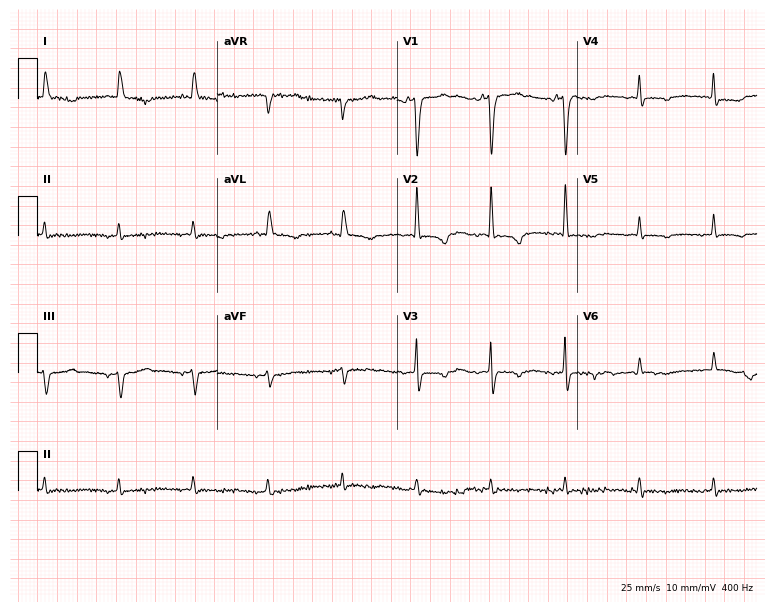
Electrocardiogram (7.3-second recording at 400 Hz), a female, 83 years old. Of the six screened findings (first-degree AV block, right bundle branch block (RBBB), left bundle branch block (LBBB), sinus bradycardia, atrial fibrillation (AF), sinus tachycardia), none is recorded.